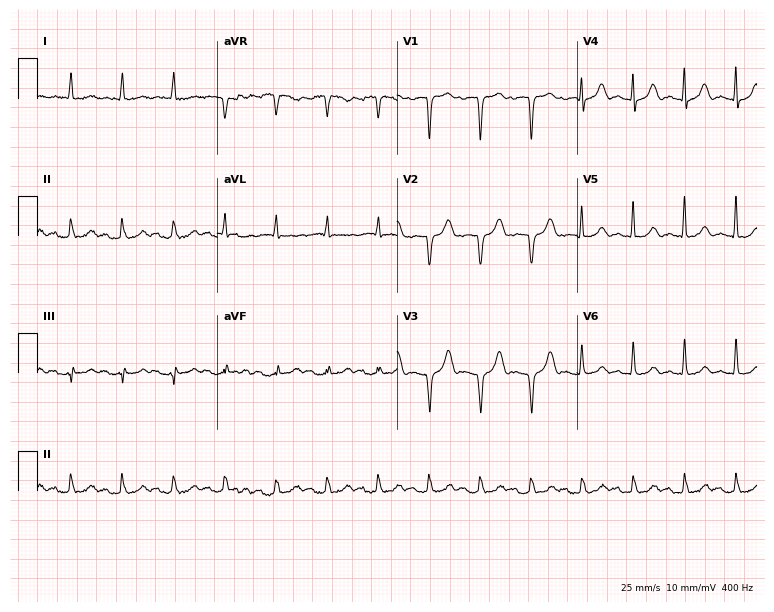
ECG — a female patient, 82 years old. Screened for six findings — first-degree AV block, right bundle branch block, left bundle branch block, sinus bradycardia, atrial fibrillation, sinus tachycardia — none is recorded. Other findings, if any, are not listed.